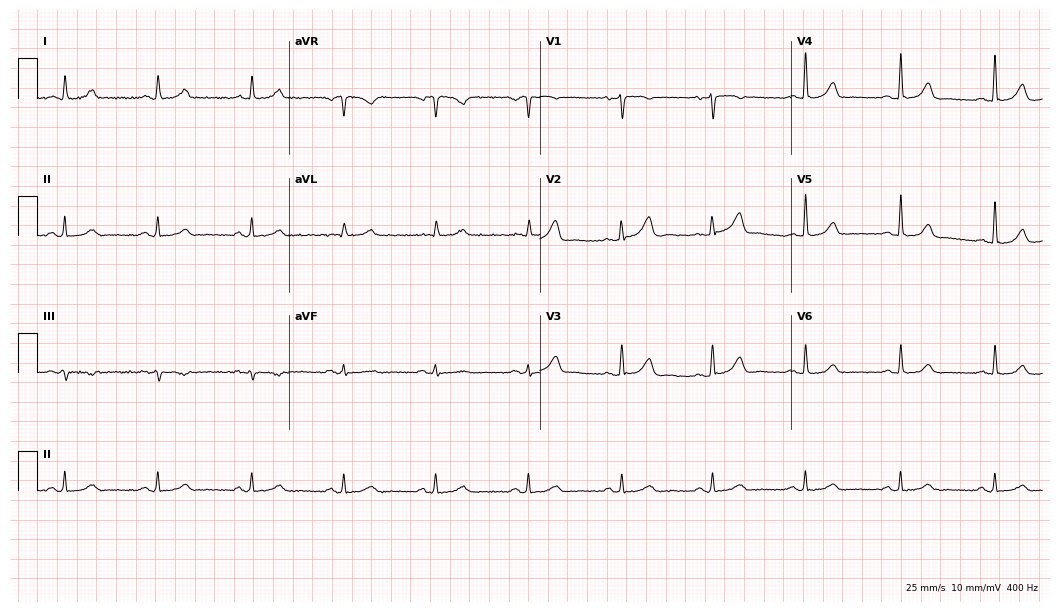
12-lead ECG from a 54-year-old female patient (10.2-second recording at 400 Hz). Recorded interpretation: within normal limits.